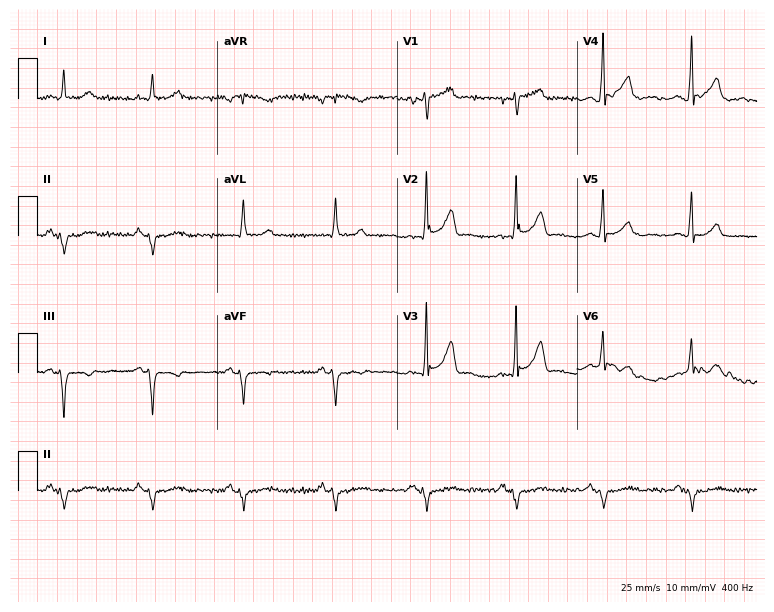
Standard 12-lead ECG recorded from a man, 58 years old. None of these six findings is recorded: first-degree AV block, right bundle branch block (RBBB), left bundle branch block (LBBB), sinus bradycardia, atrial fibrillation (AF), sinus tachycardia.